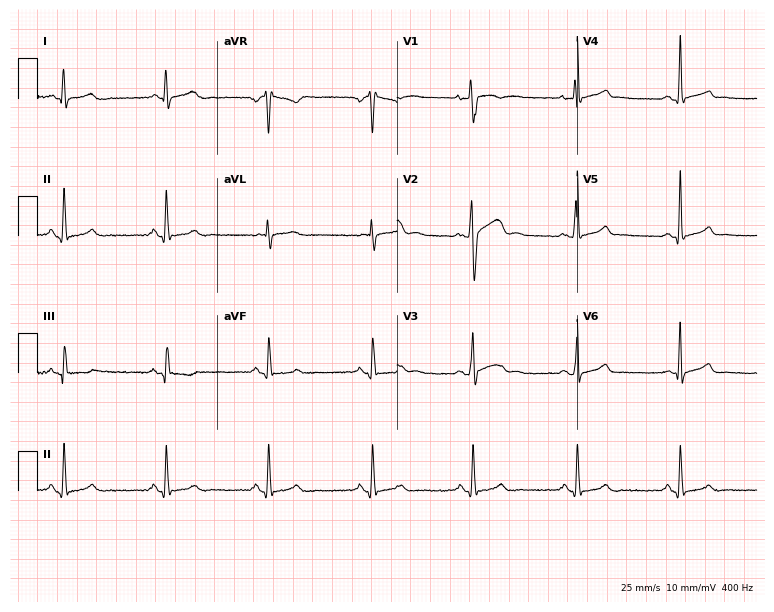
12-lead ECG from a 28-year-old male patient. Recorded interpretation: within normal limits.